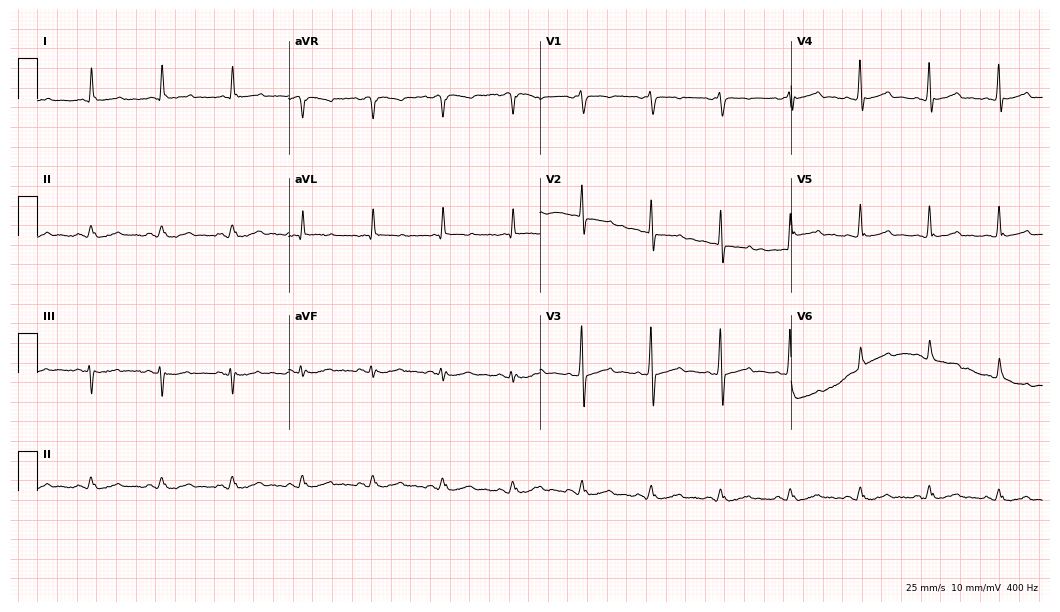
Resting 12-lead electrocardiogram (10.2-second recording at 400 Hz). Patient: a 76-year-old female. None of these six findings is recorded: first-degree AV block, right bundle branch block, left bundle branch block, sinus bradycardia, atrial fibrillation, sinus tachycardia.